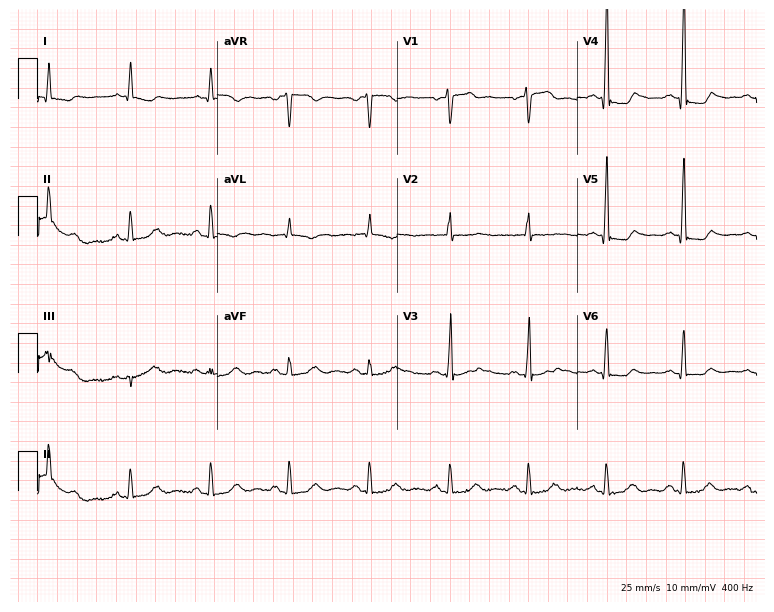
12-lead ECG from a female patient, 62 years old (7.3-second recording at 400 Hz). No first-degree AV block, right bundle branch block, left bundle branch block, sinus bradycardia, atrial fibrillation or sinus tachycardia recorded for this tracing. Other findings, if any, are not listed.